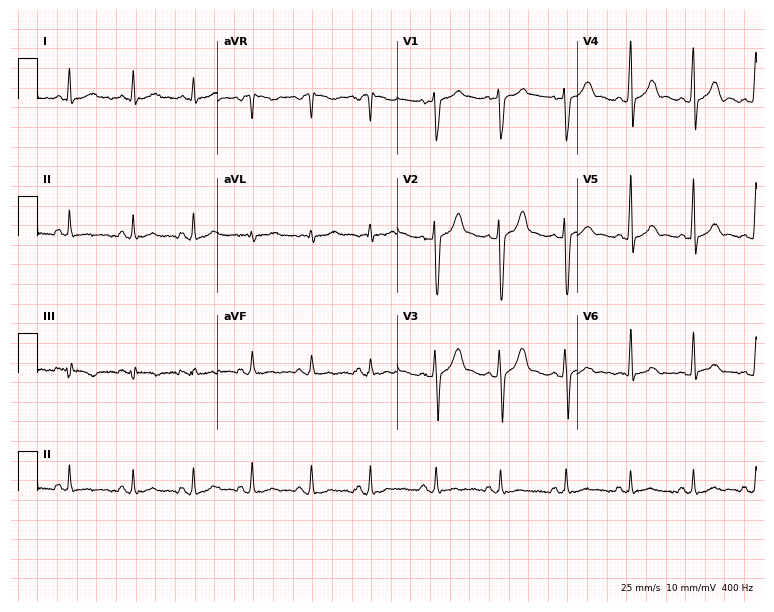
ECG — a 28-year-old male patient. Screened for six findings — first-degree AV block, right bundle branch block (RBBB), left bundle branch block (LBBB), sinus bradycardia, atrial fibrillation (AF), sinus tachycardia — none is recorded. Findings outside these six are not listed.